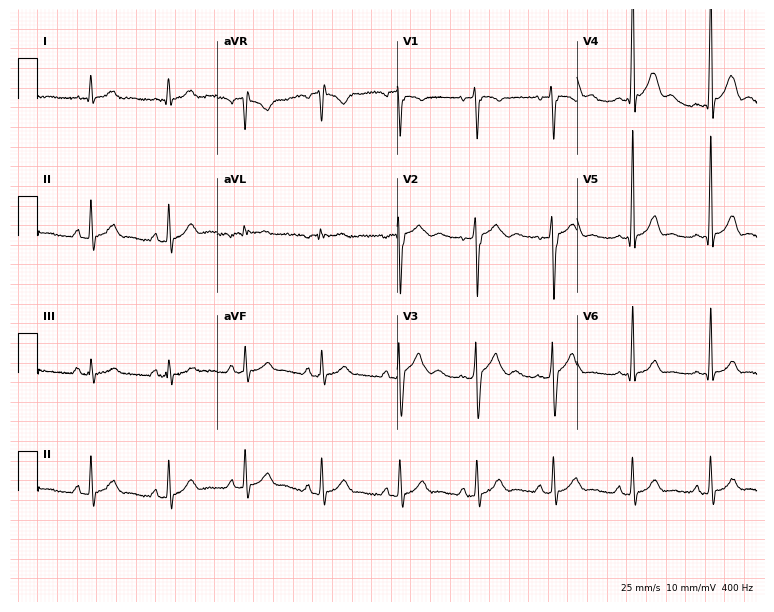
12-lead ECG from a male patient, 22 years old. No first-degree AV block, right bundle branch block, left bundle branch block, sinus bradycardia, atrial fibrillation or sinus tachycardia recorded for this tracing. Other findings, if any, are not listed.